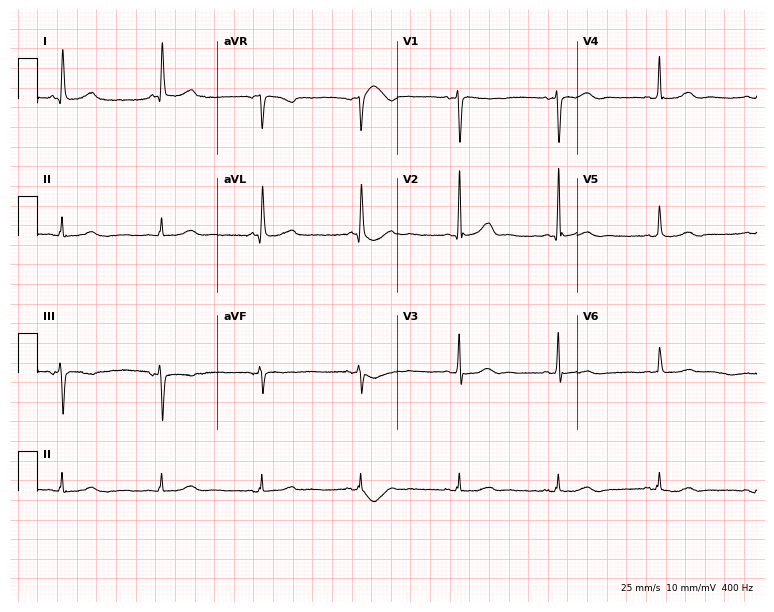
12-lead ECG from a female patient, 75 years old. Recorded interpretation: within normal limits.